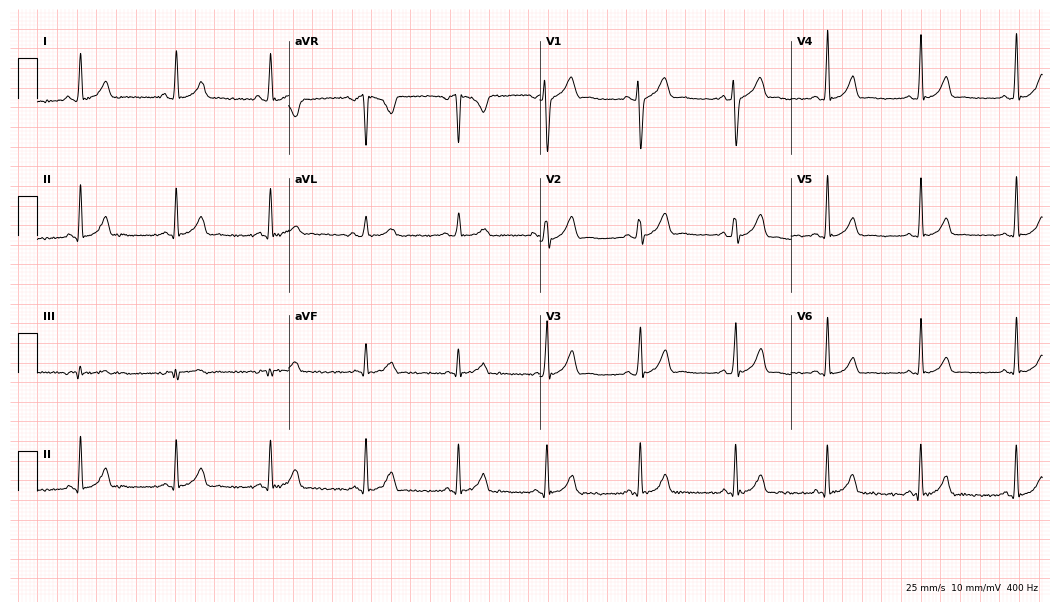
Electrocardiogram (10.2-second recording at 400 Hz), a 31-year-old male. Overall reading on record: normal ECG.